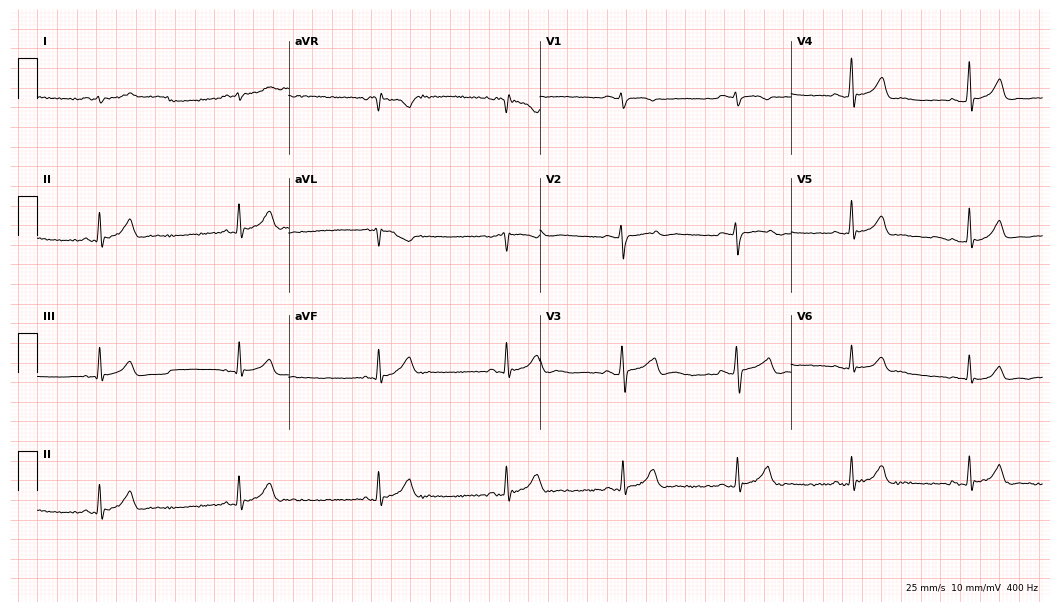
Resting 12-lead electrocardiogram (10.2-second recording at 400 Hz). Patient: a man, 20 years old. The tracing shows sinus bradycardia (a sinus rate of 50 beats per minute or less).